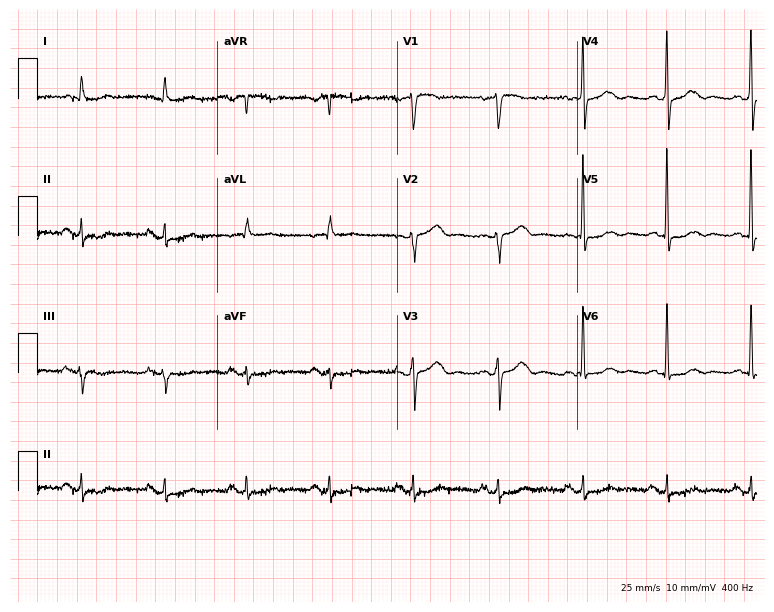
Resting 12-lead electrocardiogram. Patient: a female, 76 years old. None of these six findings is recorded: first-degree AV block, right bundle branch block, left bundle branch block, sinus bradycardia, atrial fibrillation, sinus tachycardia. Only these six findings were labelled.